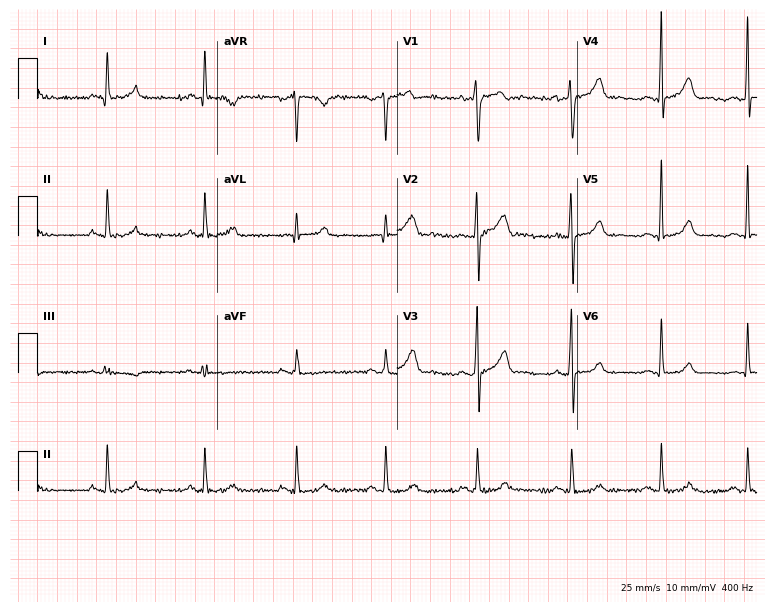
Standard 12-lead ECG recorded from a male, 46 years old (7.3-second recording at 400 Hz). Read as a normal ECG.